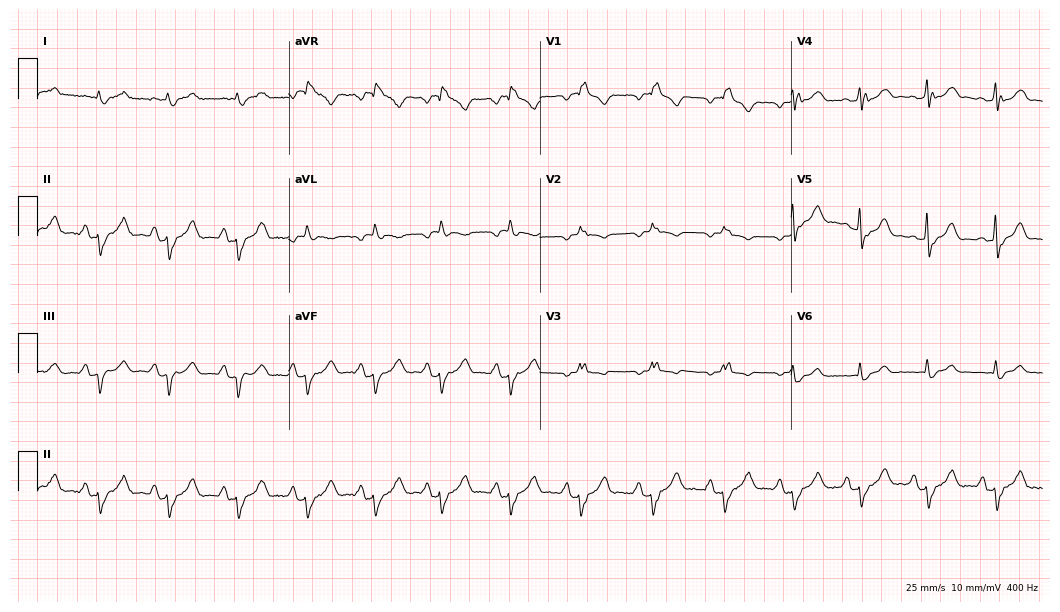
12-lead ECG from a male patient, 84 years old. No first-degree AV block, right bundle branch block, left bundle branch block, sinus bradycardia, atrial fibrillation or sinus tachycardia recorded for this tracing.